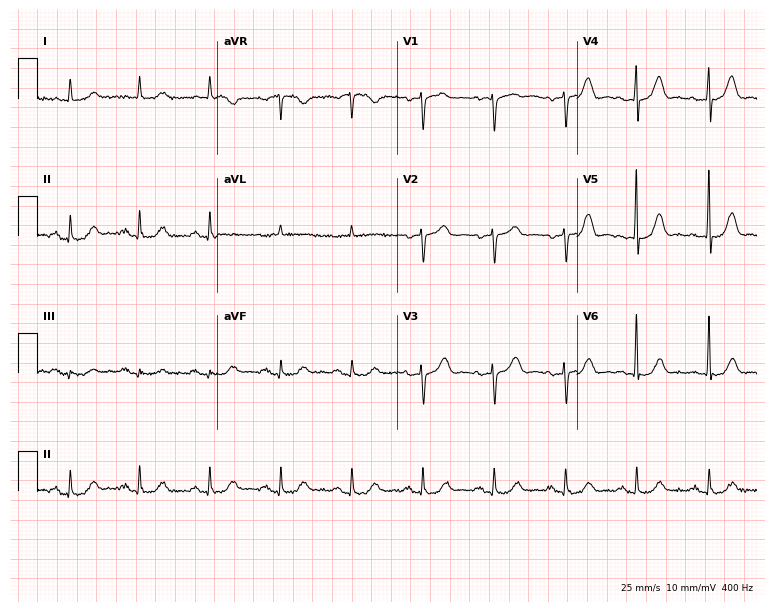
12-lead ECG from an 82-year-old female. Screened for six findings — first-degree AV block, right bundle branch block, left bundle branch block, sinus bradycardia, atrial fibrillation, sinus tachycardia — none is recorded. Other findings, if any, are not listed.